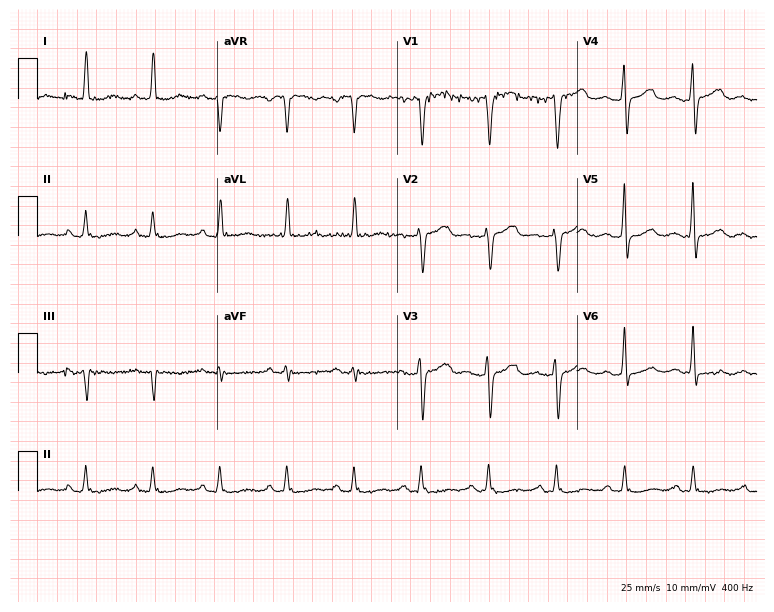
ECG (7.3-second recording at 400 Hz) — a female patient, 66 years old. Labelled as a normal ECG.